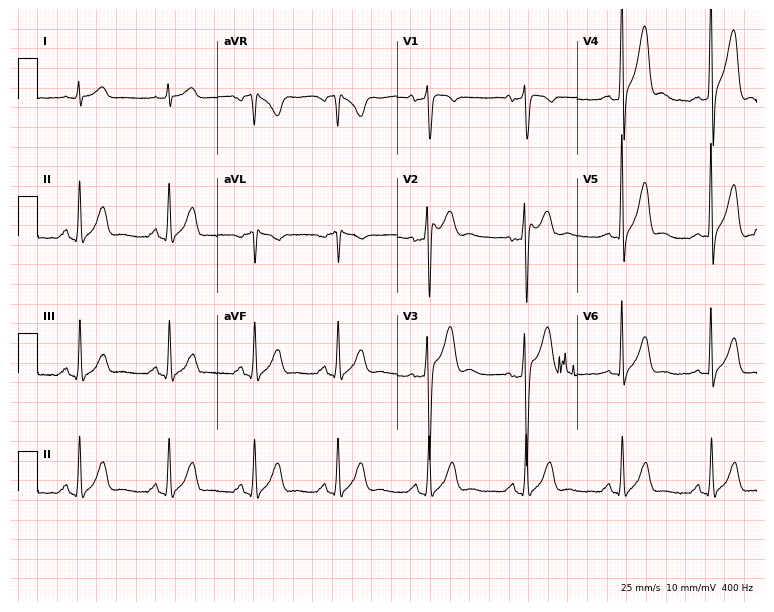
Electrocardiogram (7.3-second recording at 400 Hz), a male, 31 years old. Overall reading on record: normal ECG.